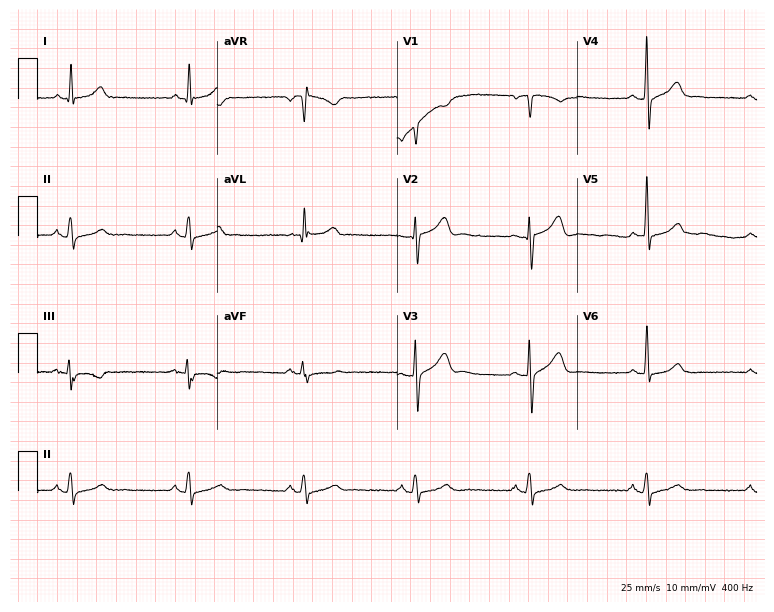
Standard 12-lead ECG recorded from a male patient, 55 years old (7.3-second recording at 400 Hz). Read as a normal ECG.